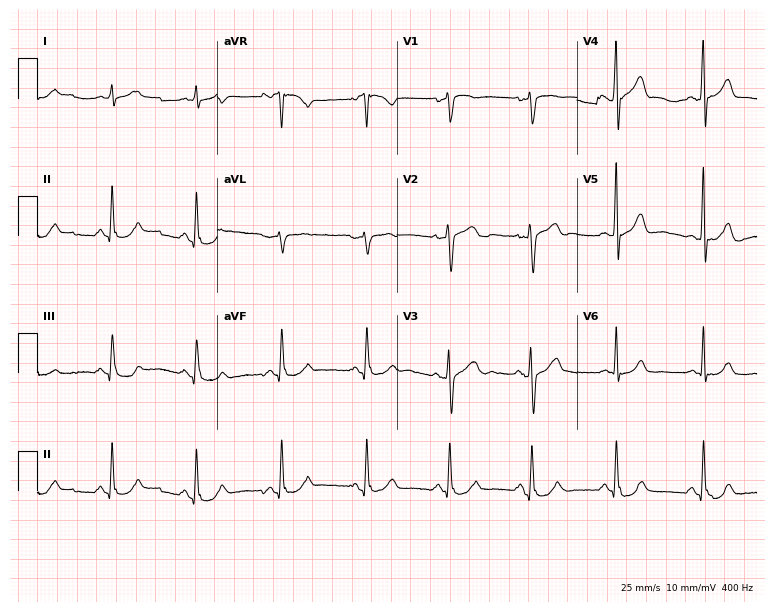
Resting 12-lead electrocardiogram (7.3-second recording at 400 Hz). Patient: a male, 52 years old. Read as a normal ECG.